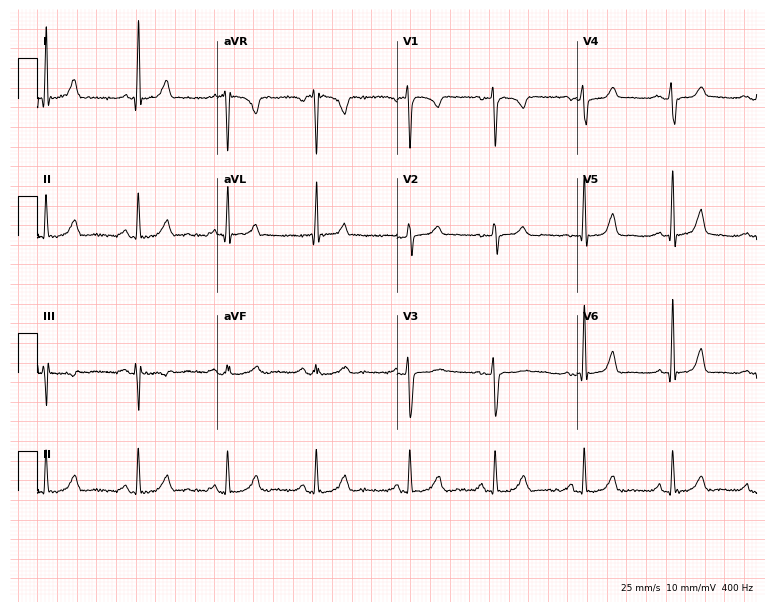
12-lead ECG from a female, 47 years old (7.3-second recording at 400 Hz). Recorded interpretation: within normal limits.